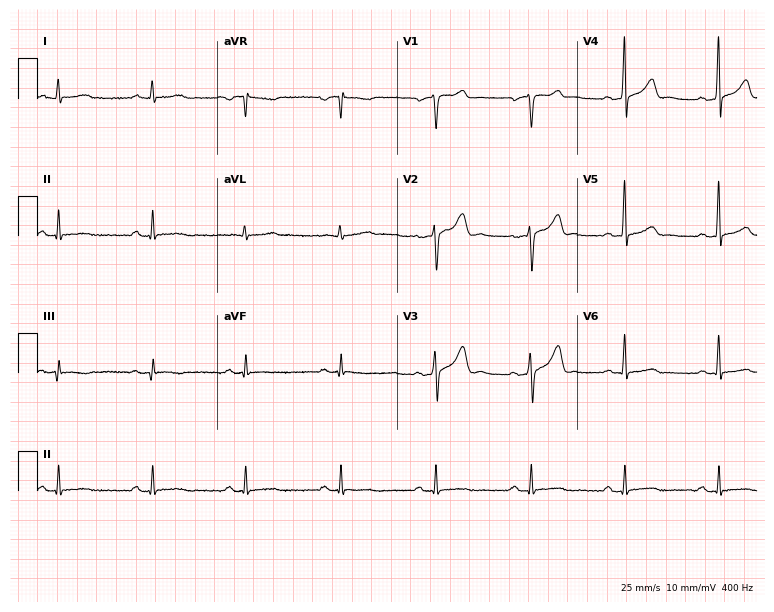
ECG — a man, 60 years old. Screened for six findings — first-degree AV block, right bundle branch block, left bundle branch block, sinus bradycardia, atrial fibrillation, sinus tachycardia — none is recorded. Only these six findings were labelled.